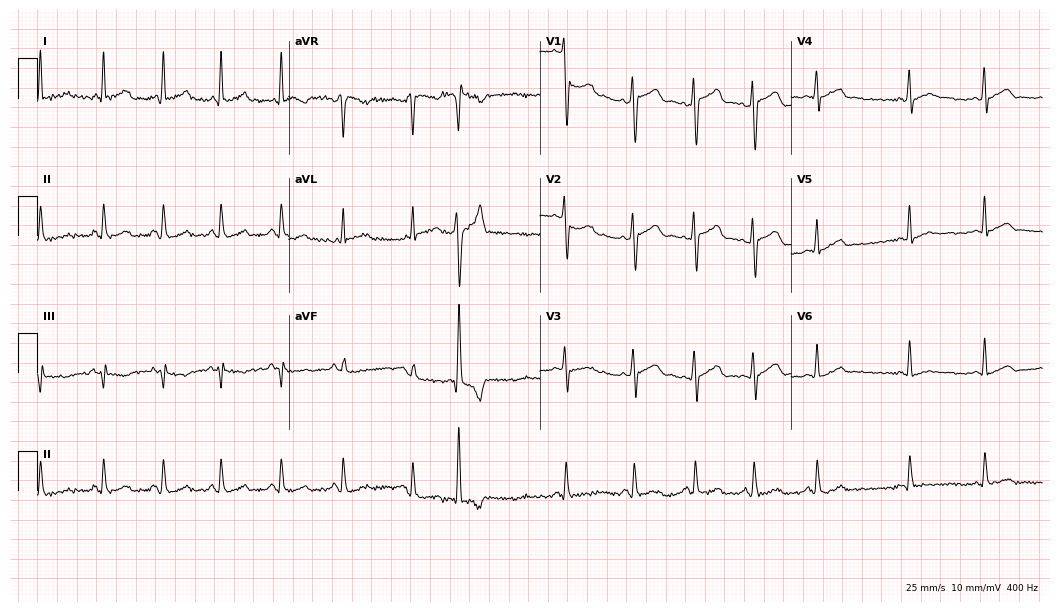
ECG — a 22-year-old male. Screened for six findings — first-degree AV block, right bundle branch block, left bundle branch block, sinus bradycardia, atrial fibrillation, sinus tachycardia — none is recorded.